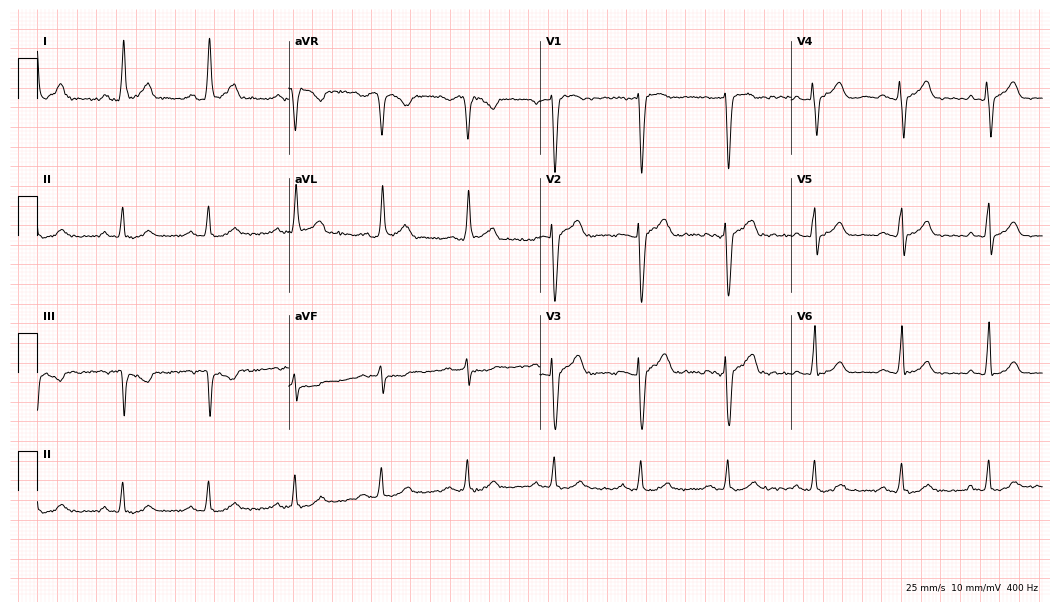
Resting 12-lead electrocardiogram (10.2-second recording at 400 Hz). Patient: a 56-year-old woman. Read as a normal ECG.